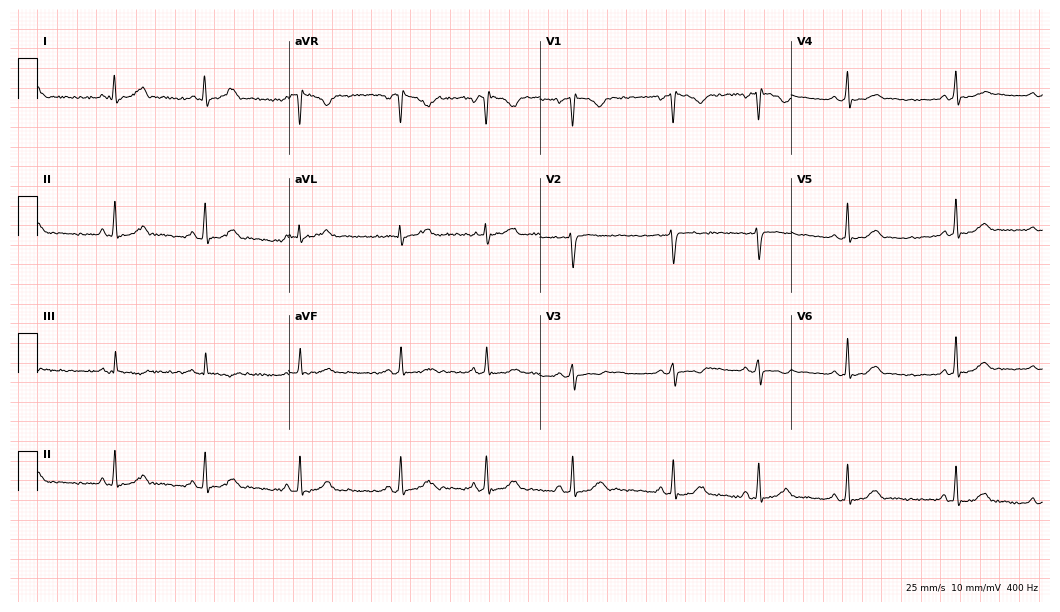
12-lead ECG from a 27-year-old female patient. Labelled as a normal ECG.